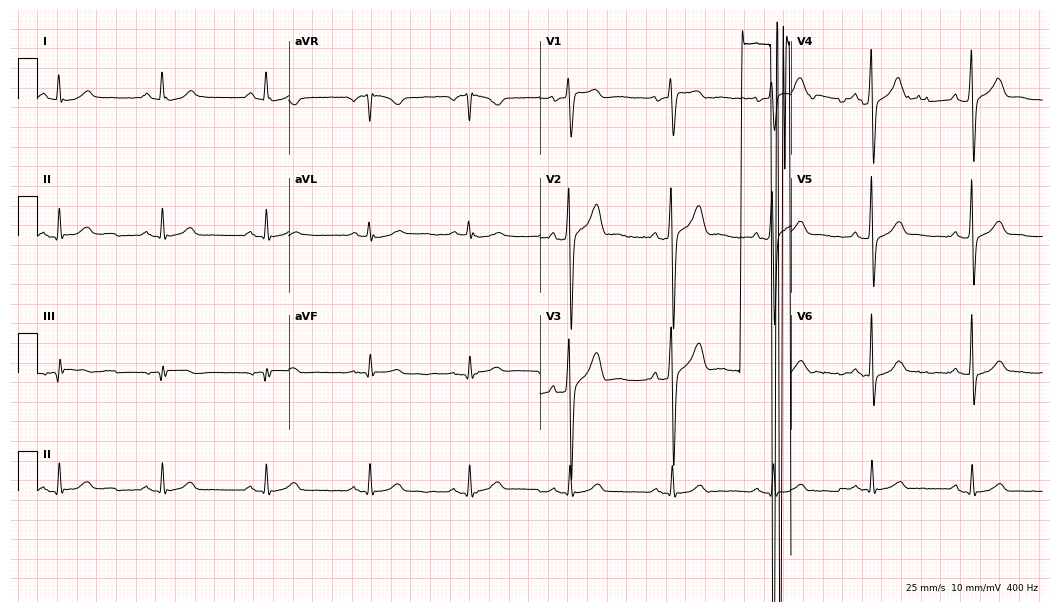
Resting 12-lead electrocardiogram. Patient: a male, 50 years old. None of these six findings is recorded: first-degree AV block, right bundle branch block, left bundle branch block, sinus bradycardia, atrial fibrillation, sinus tachycardia. Findings outside these six are not listed.